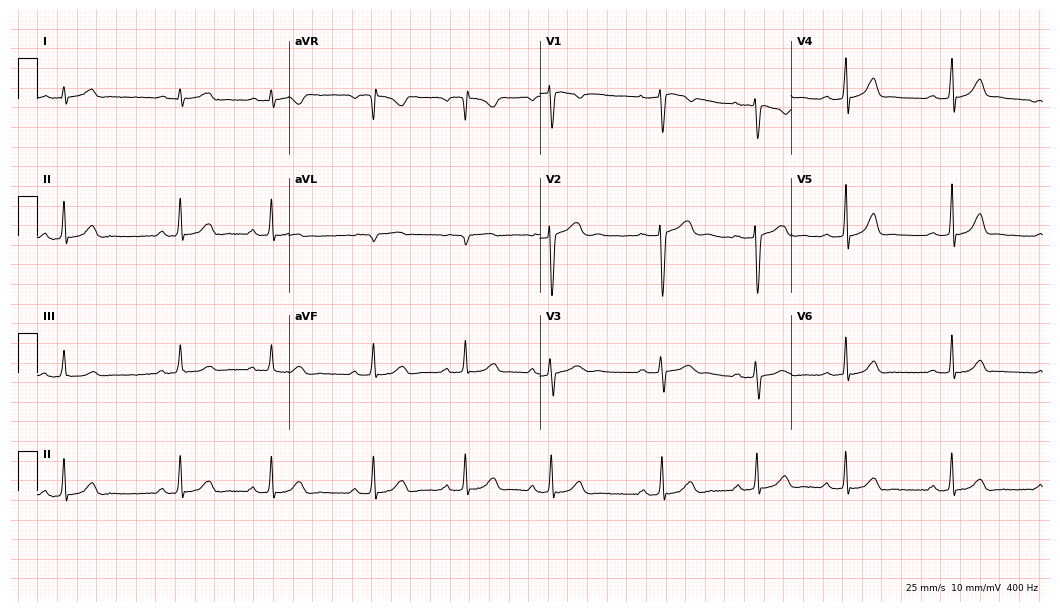
ECG — a female patient, 21 years old. Labelled as a normal ECG.